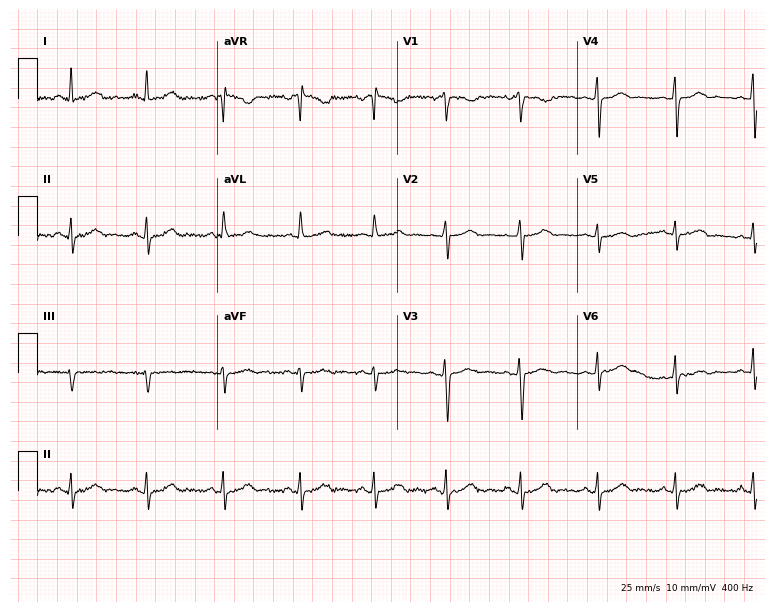
Electrocardiogram, a 41-year-old female patient. Of the six screened findings (first-degree AV block, right bundle branch block (RBBB), left bundle branch block (LBBB), sinus bradycardia, atrial fibrillation (AF), sinus tachycardia), none is recorded. Other findings, if any, are not listed.